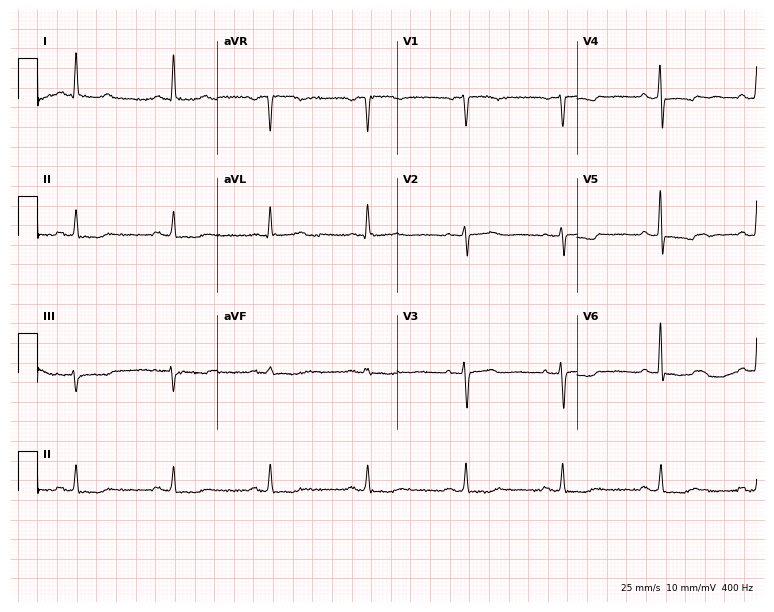
Electrocardiogram, a 58-year-old woman. Of the six screened findings (first-degree AV block, right bundle branch block (RBBB), left bundle branch block (LBBB), sinus bradycardia, atrial fibrillation (AF), sinus tachycardia), none is recorded.